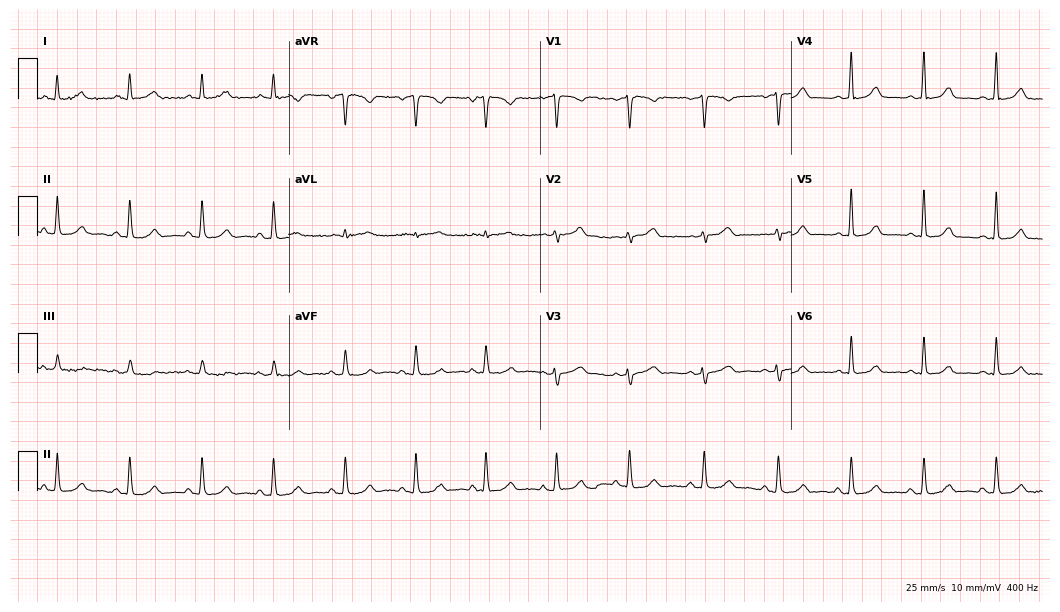
Electrocardiogram (10.2-second recording at 400 Hz), a 49-year-old female. Overall reading on record: normal ECG.